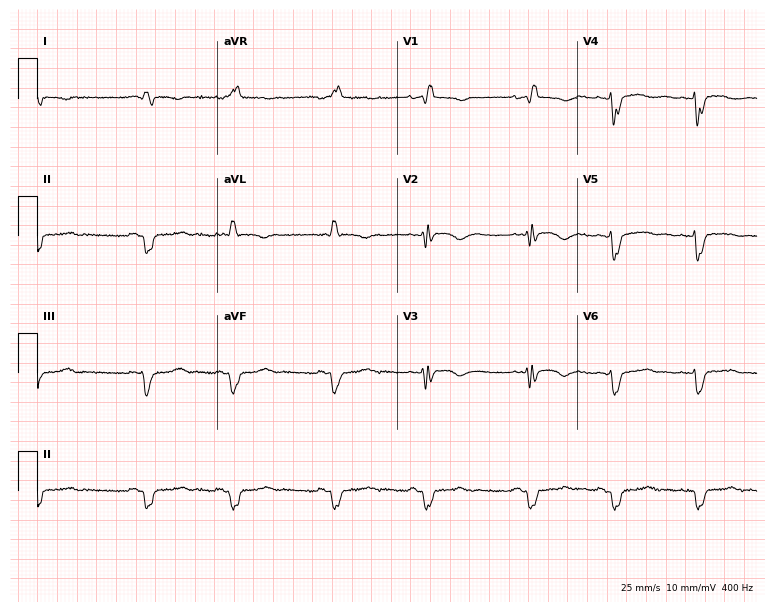
Resting 12-lead electrocardiogram. Patient: a 46-year-old woman. None of these six findings is recorded: first-degree AV block, right bundle branch block, left bundle branch block, sinus bradycardia, atrial fibrillation, sinus tachycardia. Other findings, if any, are not listed.